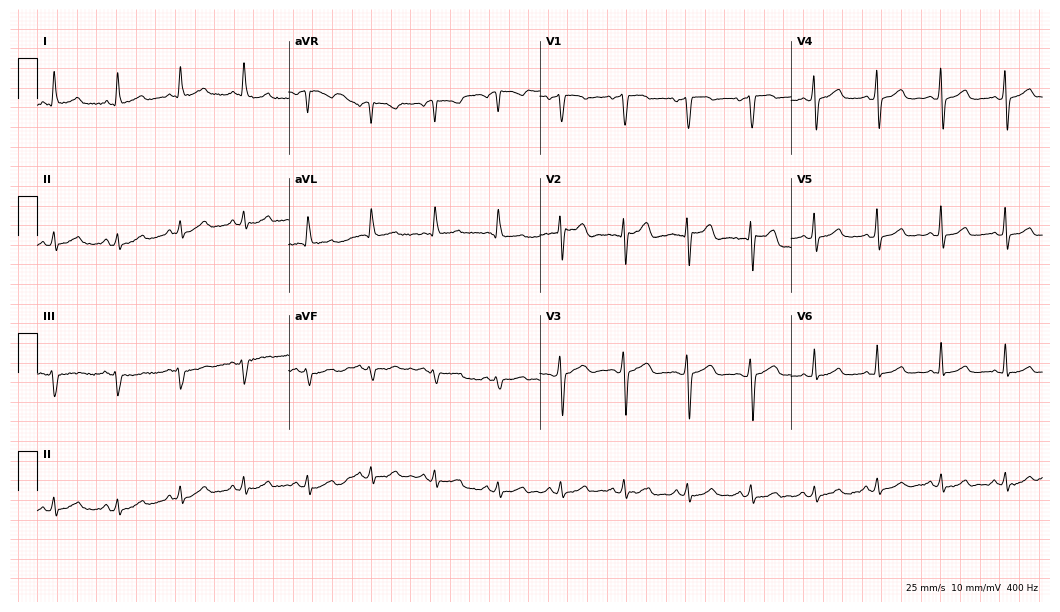
12-lead ECG from a 61-year-old female patient. Recorded interpretation: within normal limits.